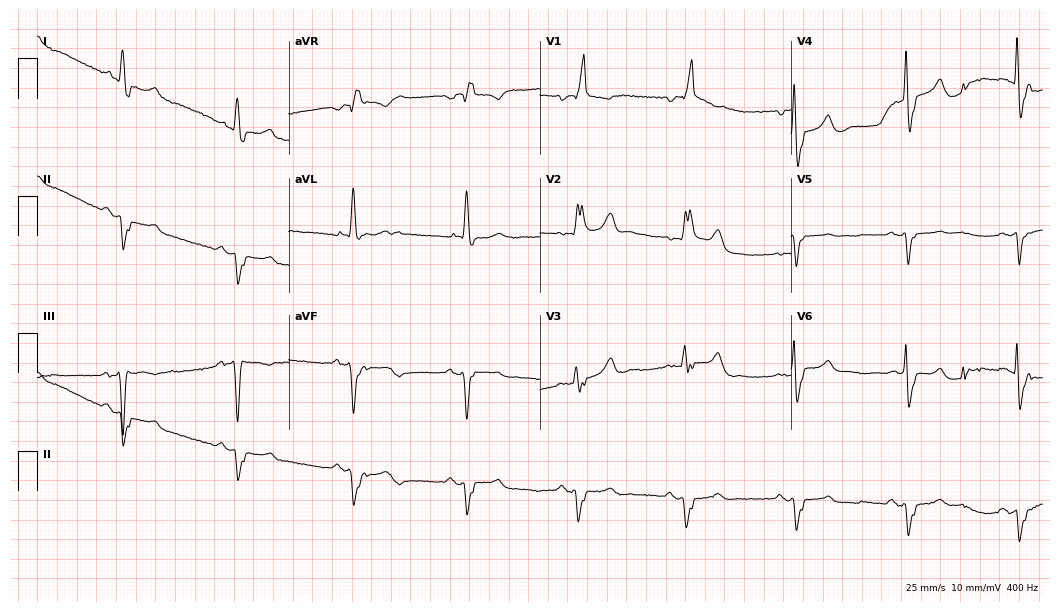
12-lead ECG (10.2-second recording at 400 Hz) from a 78-year-old male. Screened for six findings — first-degree AV block, right bundle branch block (RBBB), left bundle branch block (LBBB), sinus bradycardia, atrial fibrillation (AF), sinus tachycardia — none is recorded. Other findings, if any, are not listed.